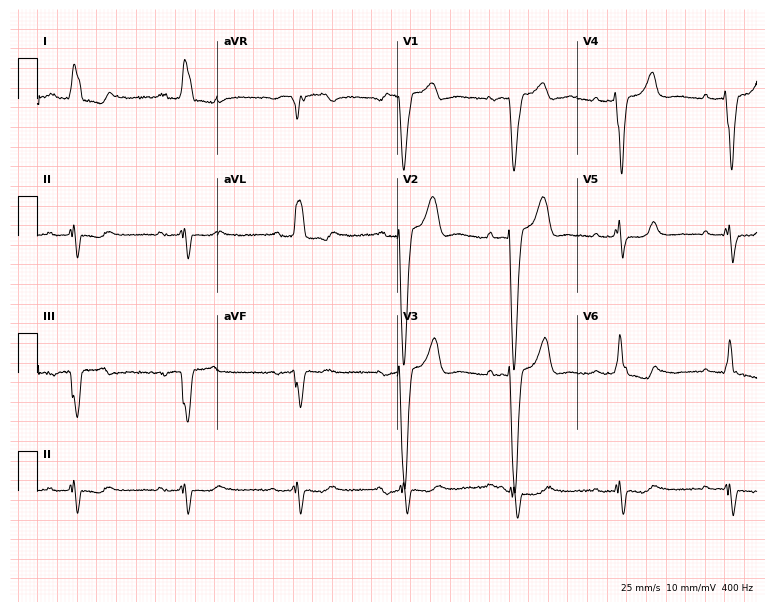
Standard 12-lead ECG recorded from a 75-year-old man (7.3-second recording at 400 Hz). The tracing shows first-degree AV block, left bundle branch block (LBBB).